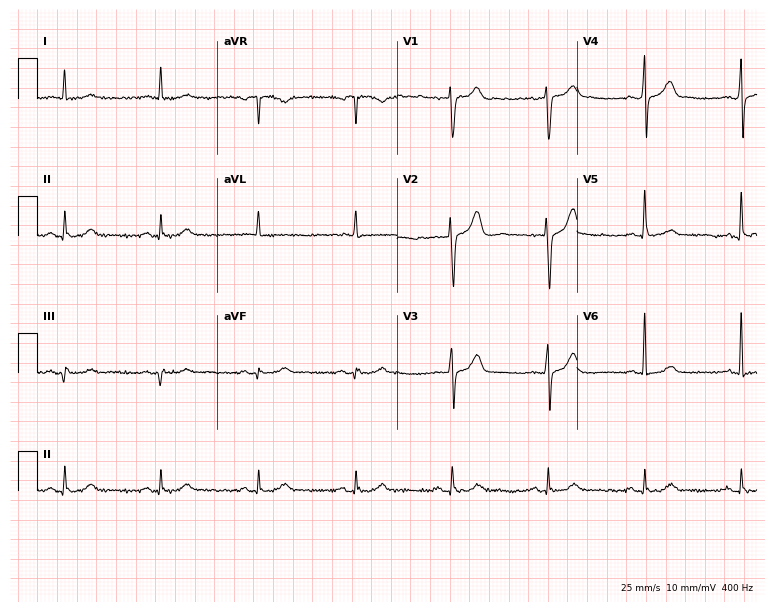
Electrocardiogram, a 65-year-old male patient. Of the six screened findings (first-degree AV block, right bundle branch block, left bundle branch block, sinus bradycardia, atrial fibrillation, sinus tachycardia), none is recorded.